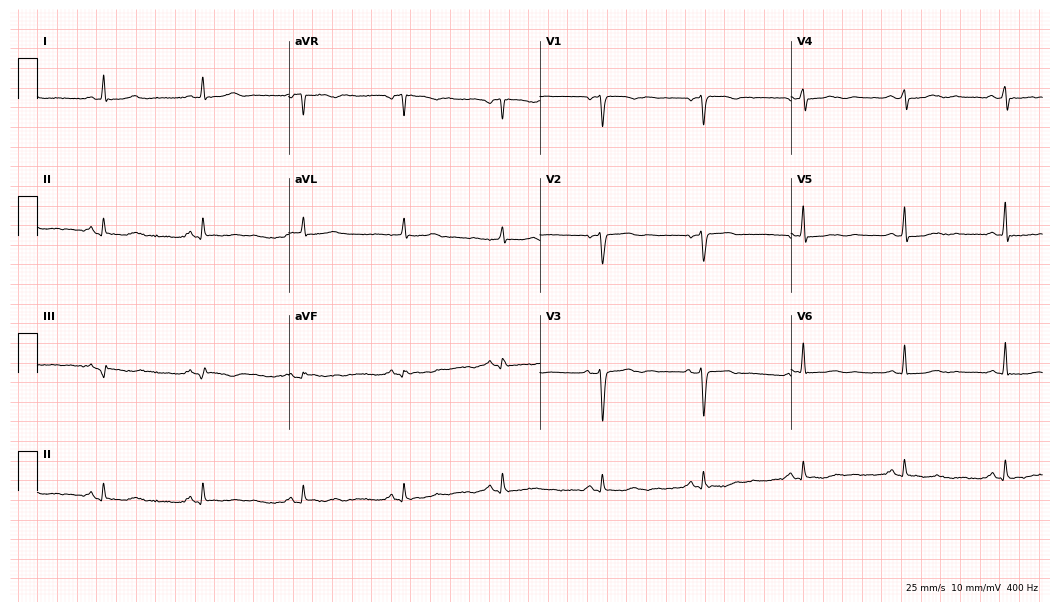
Resting 12-lead electrocardiogram. Patient: a 59-year-old female. None of these six findings is recorded: first-degree AV block, right bundle branch block, left bundle branch block, sinus bradycardia, atrial fibrillation, sinus tachycardia.